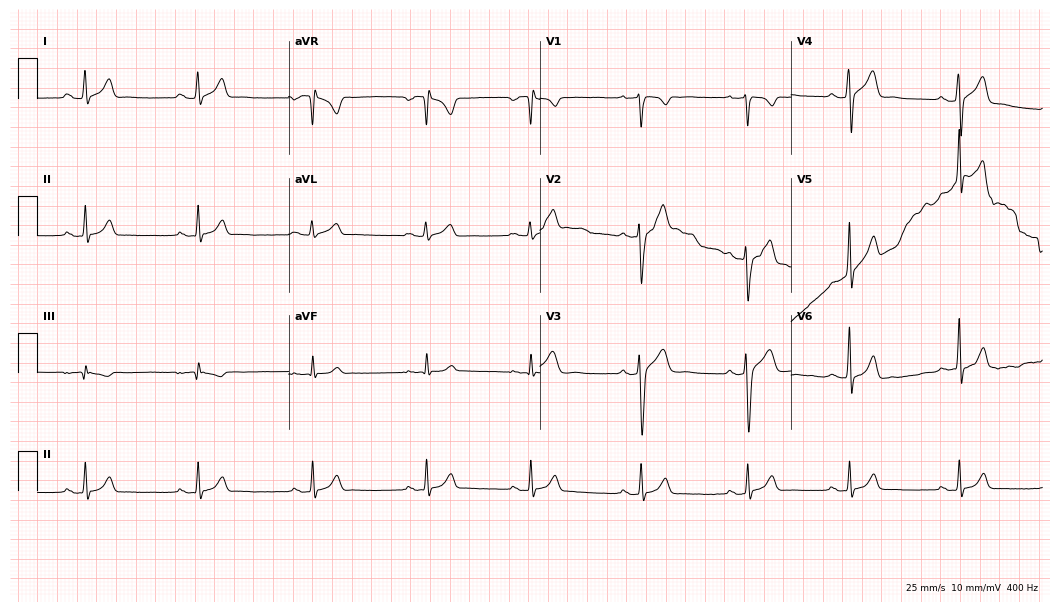
ECG — a male patient, 29 years old. Labelled as a normal ECG.